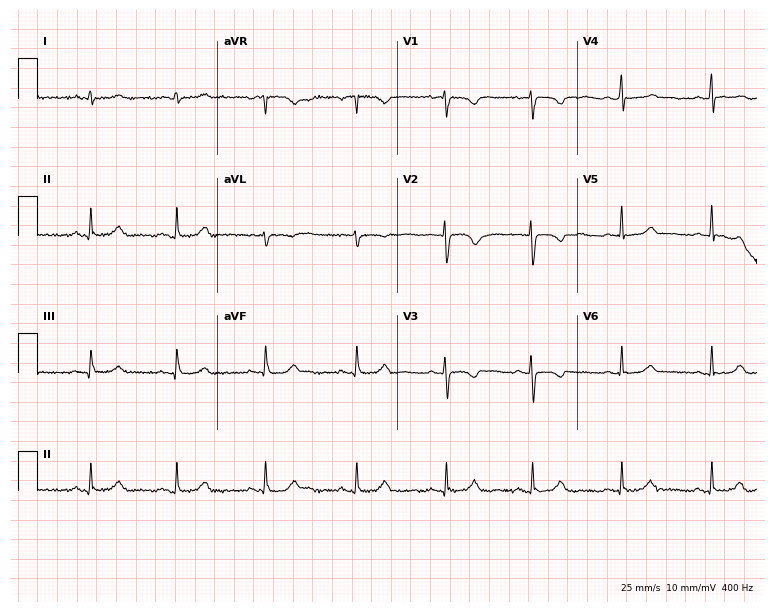
Electrocardiogram (7.3-second recording at 400 Hz), a woman, 34 years old. Overall reading on record: normal ECG.